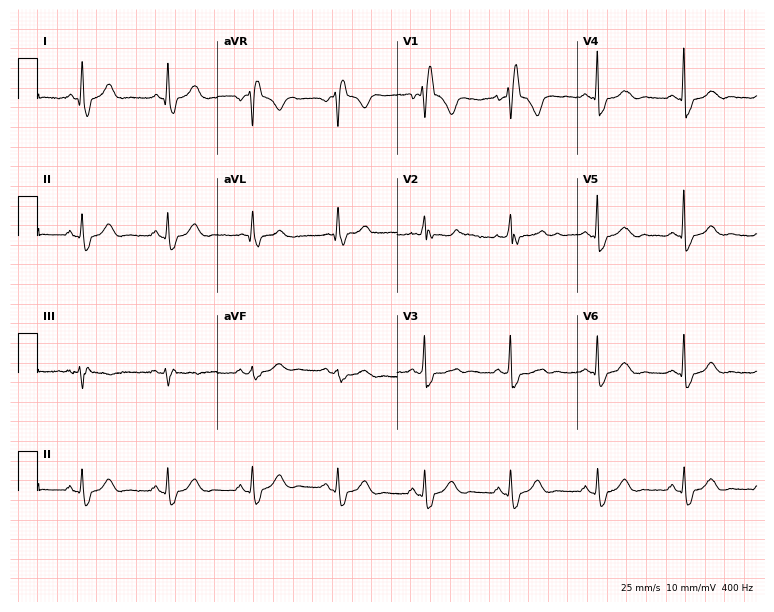
ECG (7.3-second recording at 400 Hz) — a 45-year-old woman. Findings include right bundle branch block.